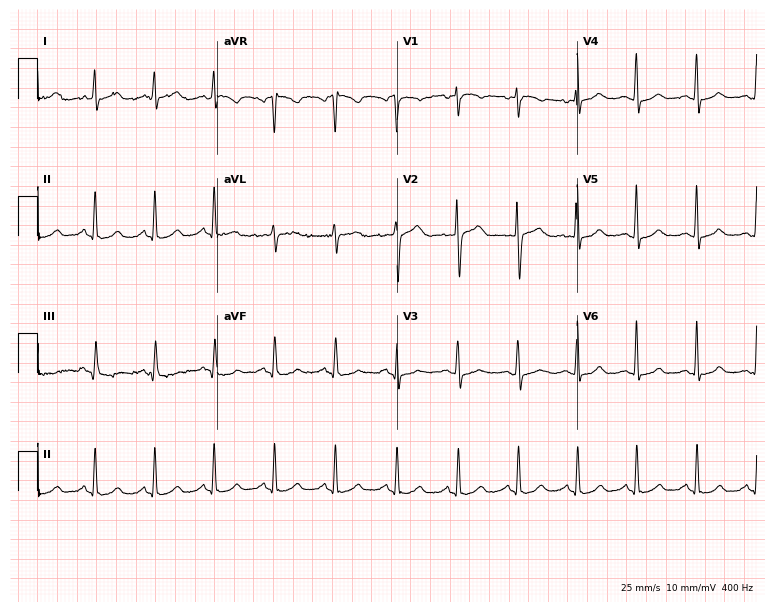
ECG (7.3-second recording at 400 Hz) — a 51-year-old female patient. Labelled as a normal ECG.